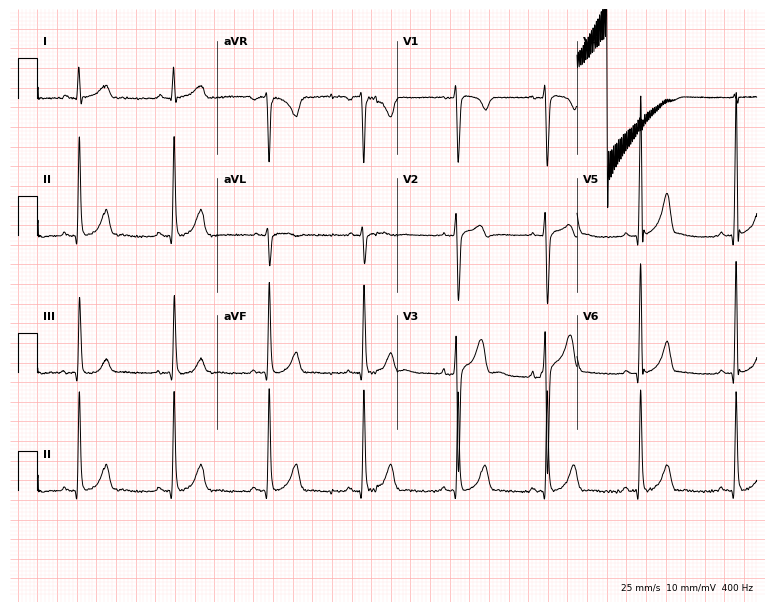
Resting 12-lead electrocardiogram. Patient: a man, 26 years old. None of these six findings is recorded: first-degree AV block, right bundle branch block, left bundle branch block, sinus bradycardia, atrial fibrillation, sinus tachycardia. Only these six findings were labelled.